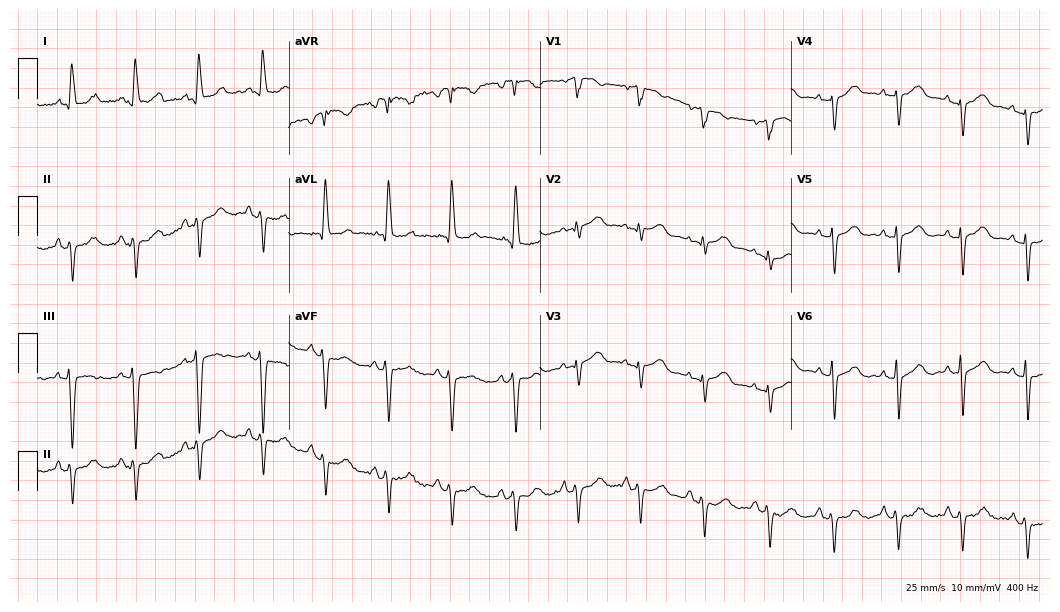
12-lead ECG (10.2-second recording at 400 Hz) from a 70-year-old female. Screened for six findings — first-degree AV block, right bundle branch block, left bundle branch block, sinus bradycardia, atrial fibrillation, sinus tachycardia — none is recorded.